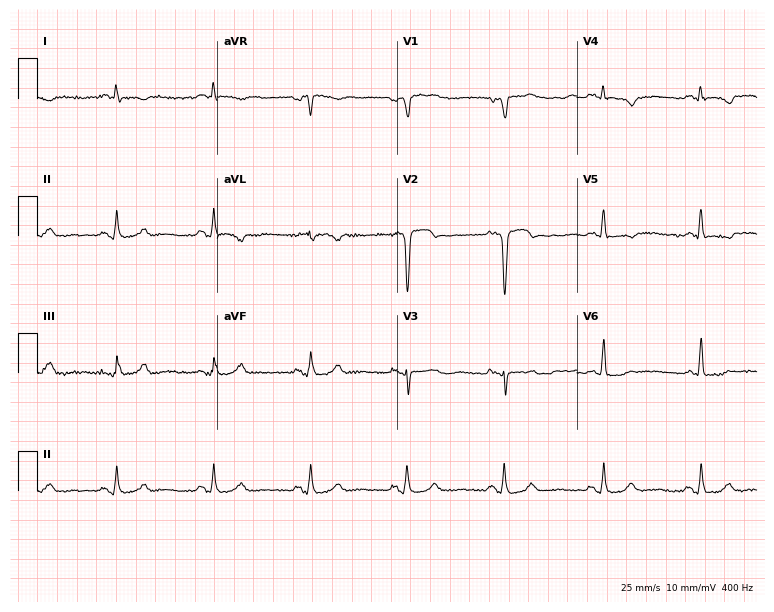
Electrocardiogram, a 55-year-old male patient. Of the six screened findings (first-degree AV block, right bundle branch block (RBBB), left bundle branch block (LBBB), sinus bradycardia, atrial fibrillation (AF), sinus tachycardia), none is recorded.